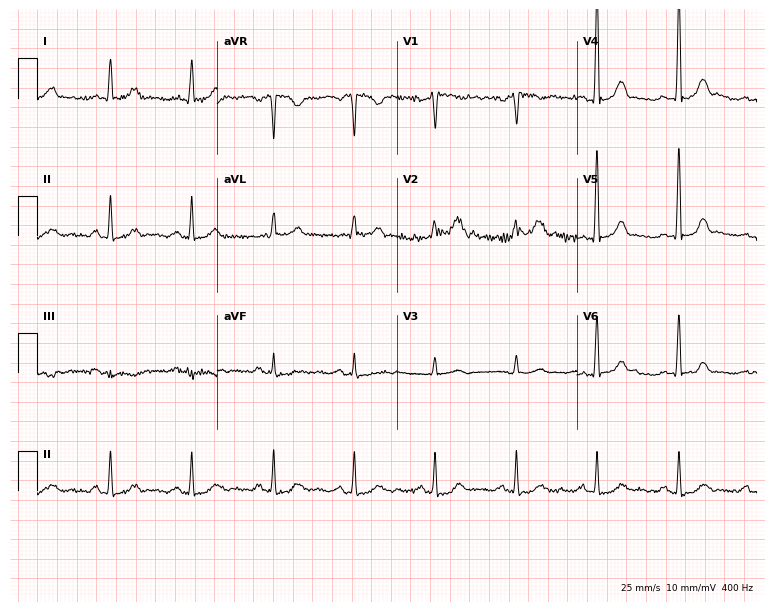
ECG (7.3-second recording at 400 Hz) — a 56-year-old male. Labelled as a normal ECG.